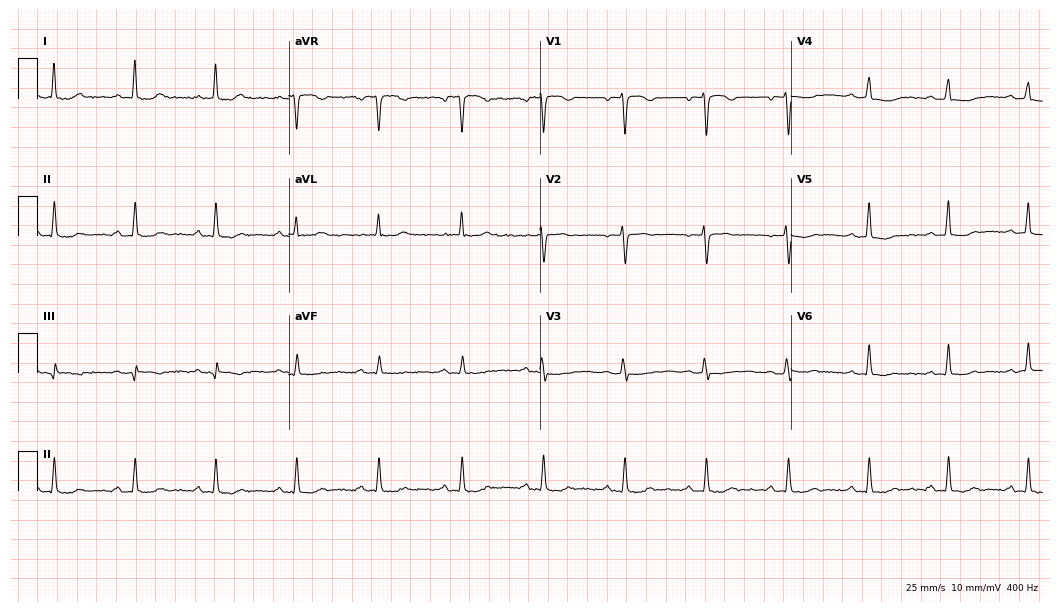
ECG (10.2-second recording at 400 Hz) — a 50-year-old woman. Screened for six findings — first-degree AV block, right bundle branch block, left bundle branch block, sinus bradycardia, atrial fibrillation, sinus tachycardia — none is recorded. Findings outside these six are not listed.